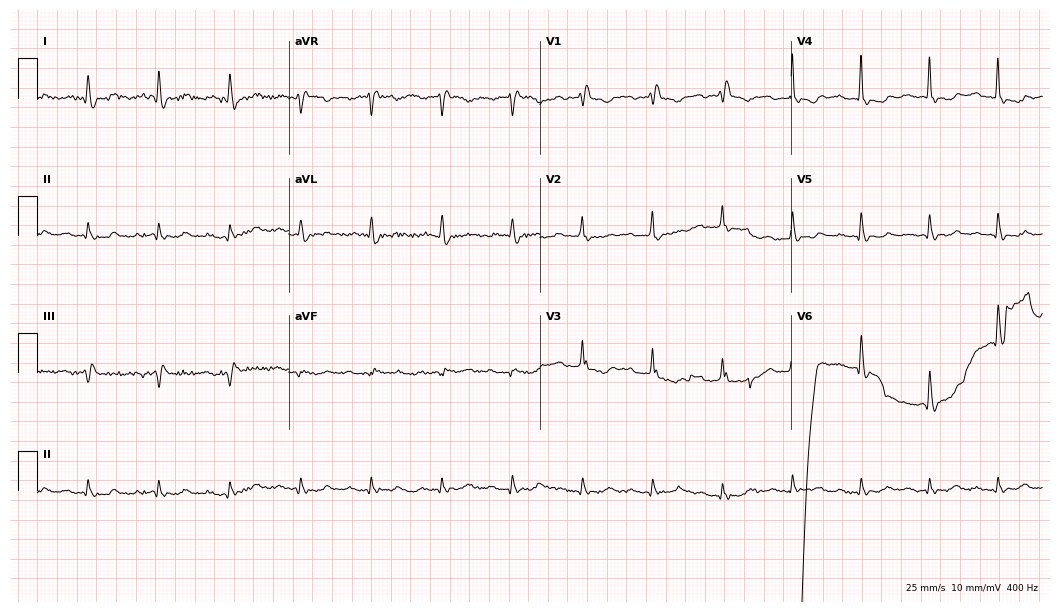
Resting 12-lead electrocardiogram (10.2-second recording at 400 Hz). Patient: a male, 79 years old. None of these six findings is recorded: first-degree AV block, right bundle branch block (RBBB), left bundle branch block (LBBB), sinus bradycardia, atrial fibrillation (AF), sinus tachycardia. Other findings, if any, are not listed.